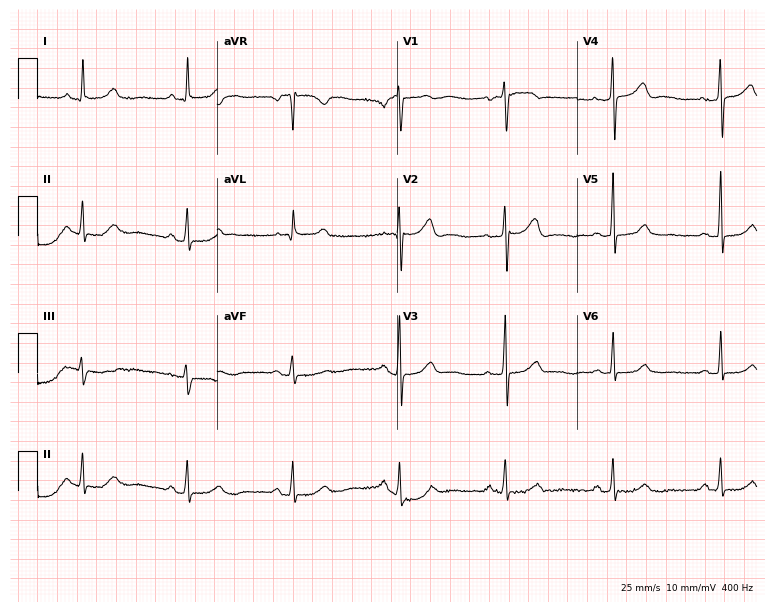
Standard 12-lead ECG recorded from a female, 59 years old (7.3-second recording at 400 Hz). None of these six findings is recorded: first-degree AV block, right bundle branch block (RBBB), left bundle branch block (LBBB), sinus bradycardia, atrial fibrillation (AF), sinus tachycardia.